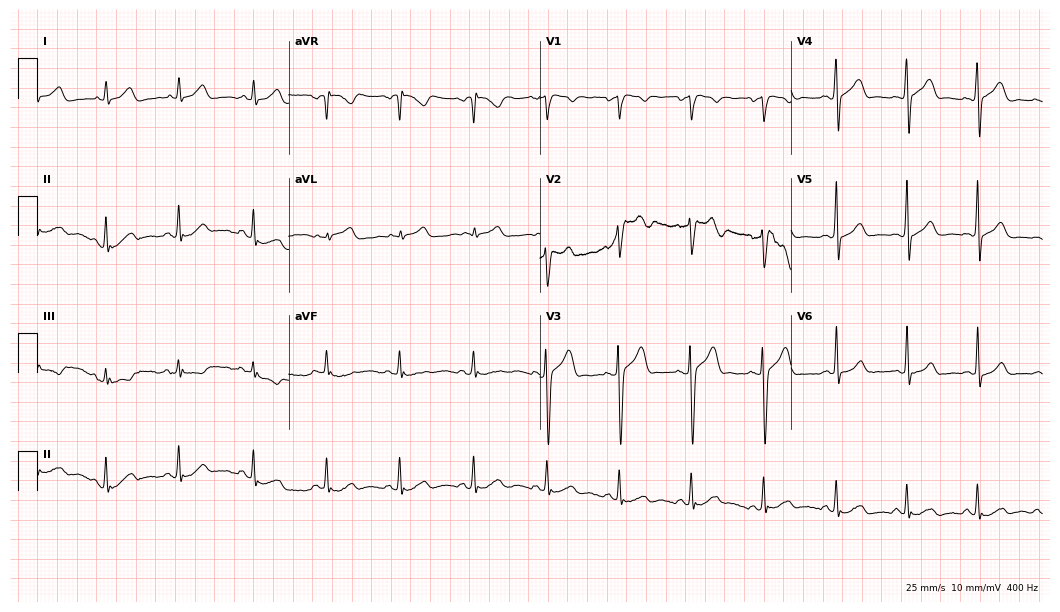
Resting 12-lead electrocardiogram (10.2-second recording at 400 Hz). Patient: a male, 41 years old. Read as a normal ECG.